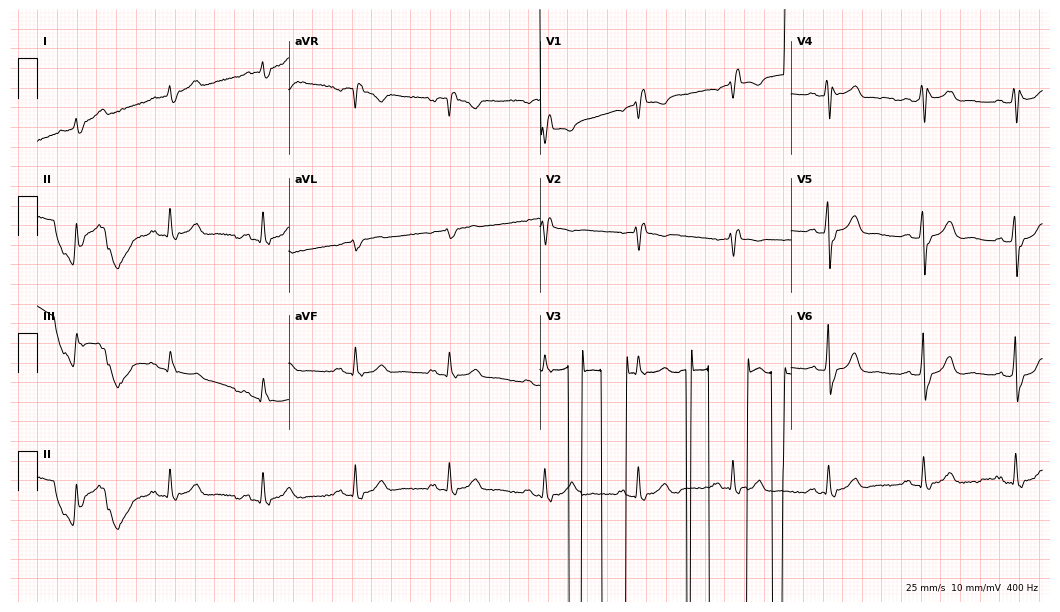
ECG — a man, 71 years old. Screened for six findings — first-degree AV block, right bundle branch block (RBBB), left bundle branch block (LBBB), sinus bradycardia, atrial fibrillation (AF), sinus tachycardia — none is recorded. Other findings, if any, are not listed.